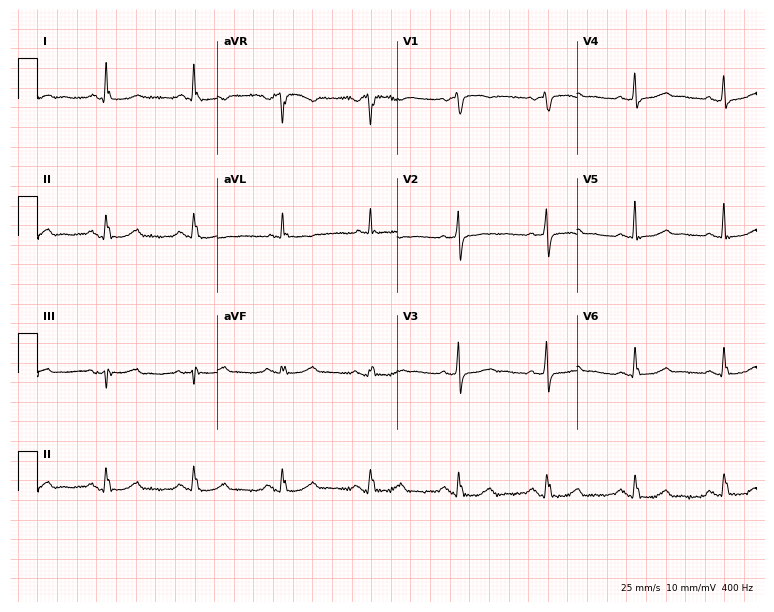
Electrocardiogram (7.3-second recording at 400 Hz), an 83-year-old female. Of the six screened findings (first-degree AV block, right bundle branch block (RBBB), left bundle branch block (LBBB), sinus bradycardia, atrial fibrillation (AF), sinus tachycardia), none is recorded. Other findings, if any, are not listed.